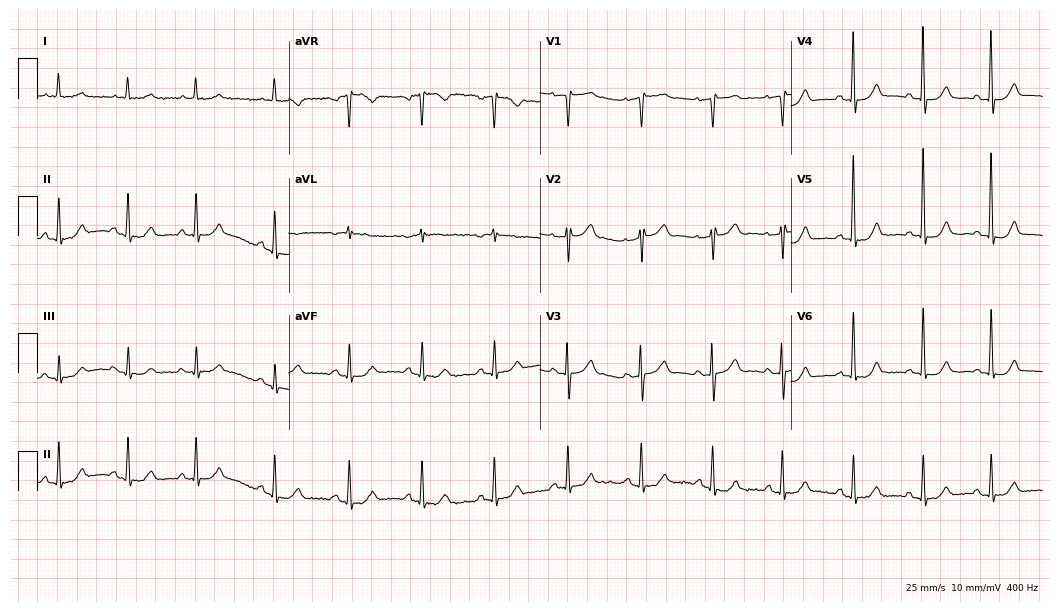
Standard 12-lead ECG recorded from a female, 82 years old (10.2-second recording at 400 Hz). None of these six findings is recorded: first-degree AV block, right bundle branch block, left bundle branch block, sinus bradycardia, atrial fibrillation, sinus tachycardia.